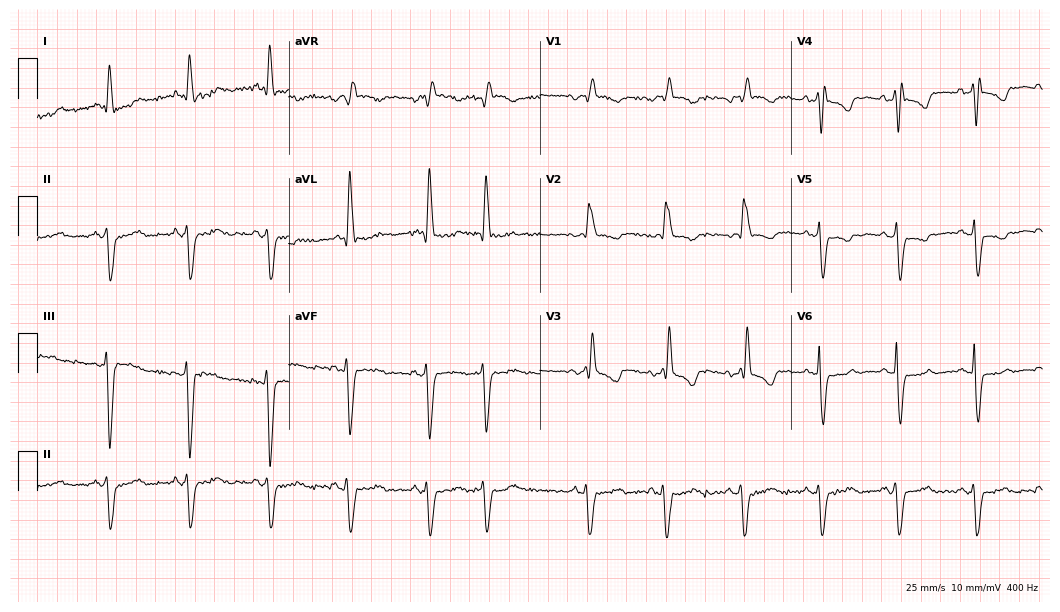
12-lead ECG (10.2-second recording at 400 Hz) from a woman, 73 years old. Findings include right bundle branch block.